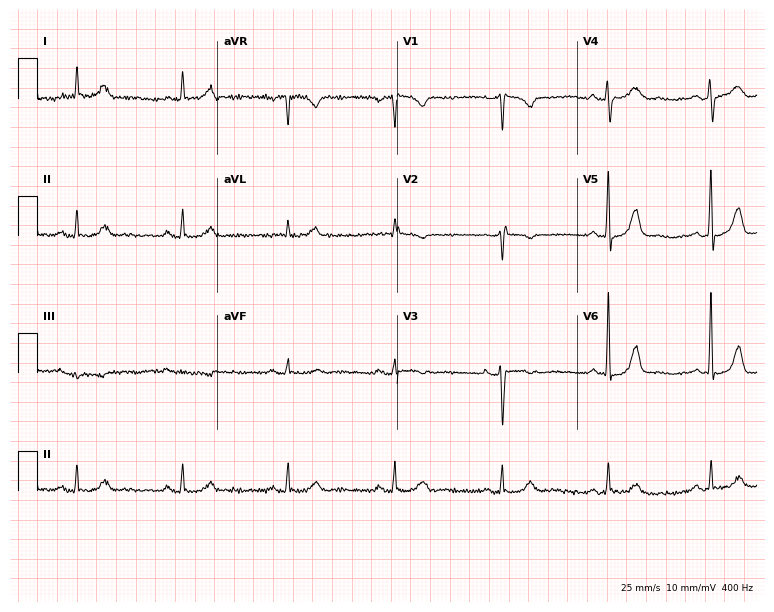
12-lead ECG from a female patient, 49 years old. No first-degree AV block, right bundle branch block, left bundle branch block, sinus bradycardia, atrial fibrillation or sinus tachycardia recorded for this tracing. Only these six findings were labelled.